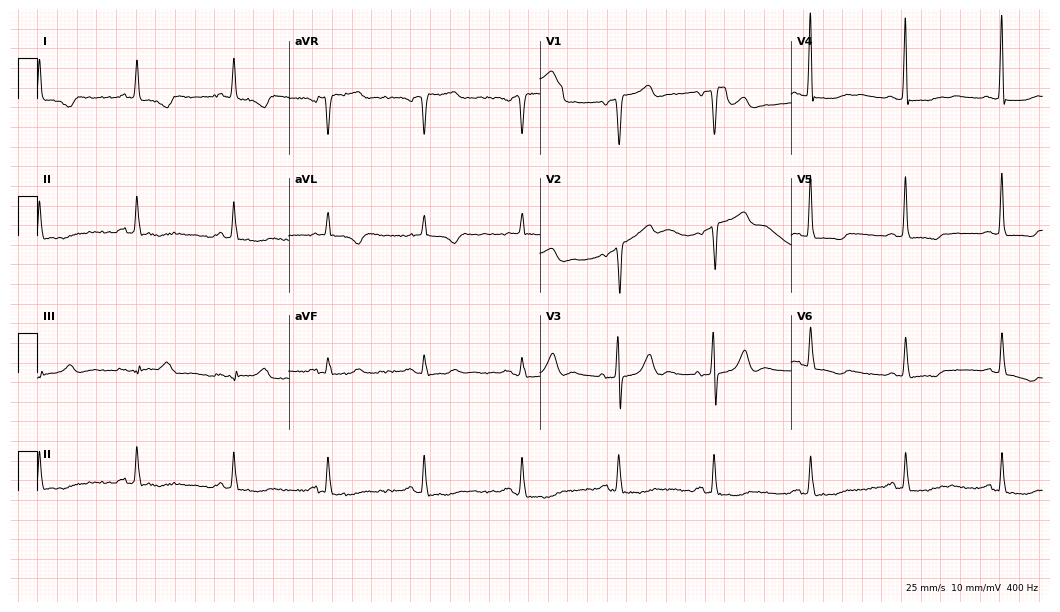
ECG — a 57-year-old woman. Screened for six findings — first-degree AV block, right bundle branch block, left bundle branch block, sinus bradycardia, atrial fibrillation, sinus tachycardia — none is recorded.